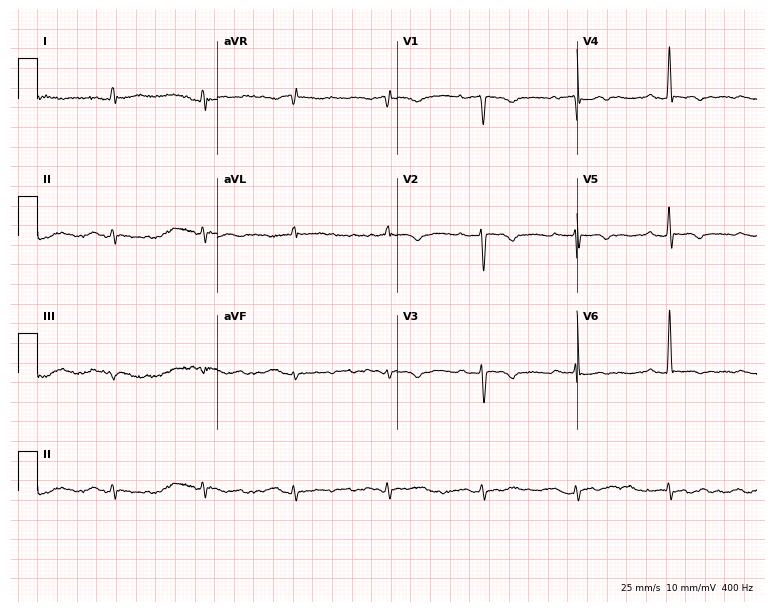
Electrocardiogram (7.3-second recording at 400 Hz), a 45-year-old female. Overall reading on record: normal ECG.